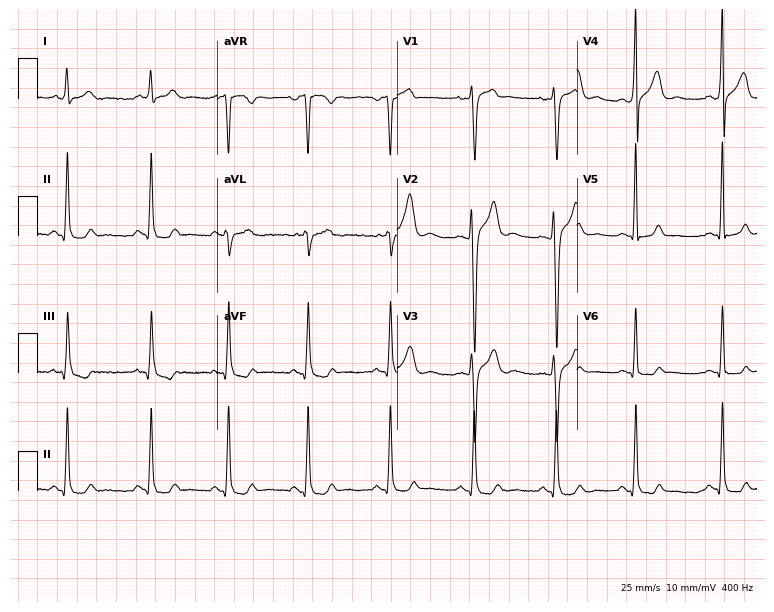
Resting 12-lead electrocardiogram (7.3-second recording at 400 Hz). Patient: a female, 24 years old. Read as a normal ECG.